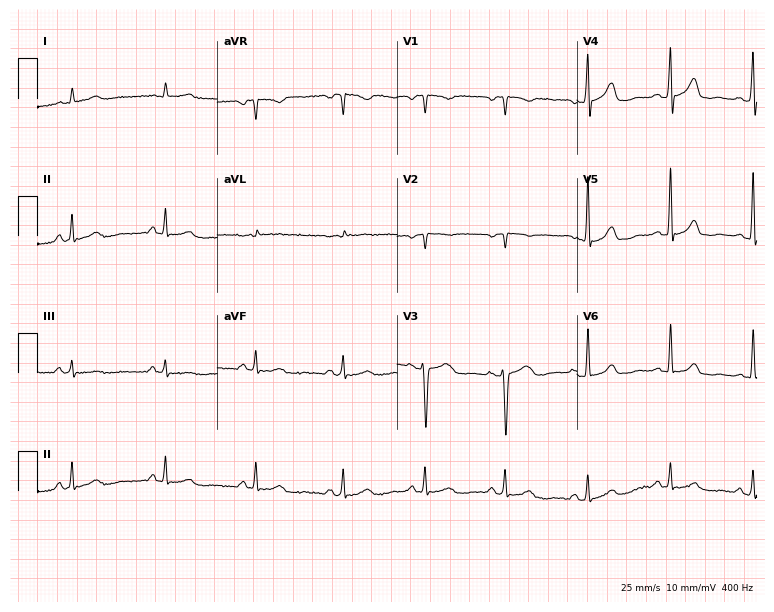
12-lead ECG from a 48-year-old female. No first-degree AV block, right bundle branch block (RBBB), left bundle branch block (LBBB), sinus bradycardia, atrial fibrillation (AF) or sinus tachycardia recorded for this tracing.